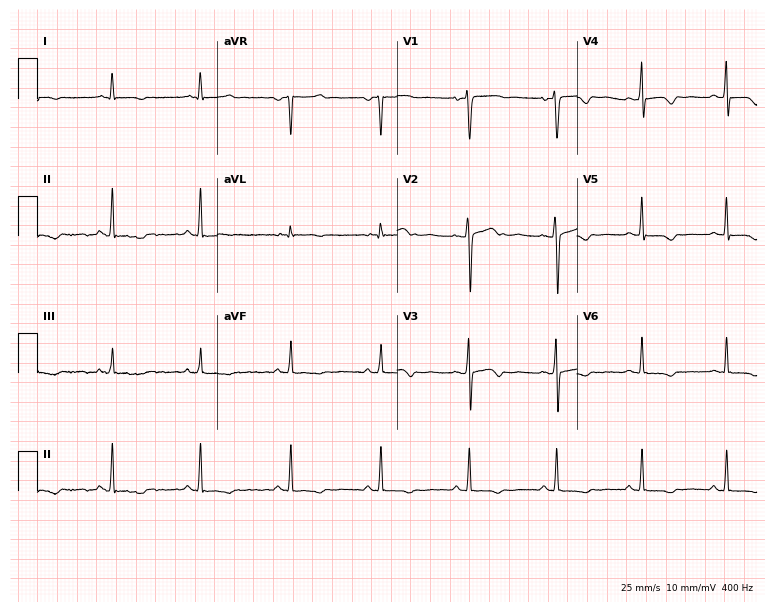
ECG (7.3-second recording at 400 Hz) — a 51-year-old female patient. Screened for six findings — first-degree AV block, right bundle branch block, left bundle branch block, sinus bradycardia, atrial fibrillation, sinus tachycardia — none is recorded.